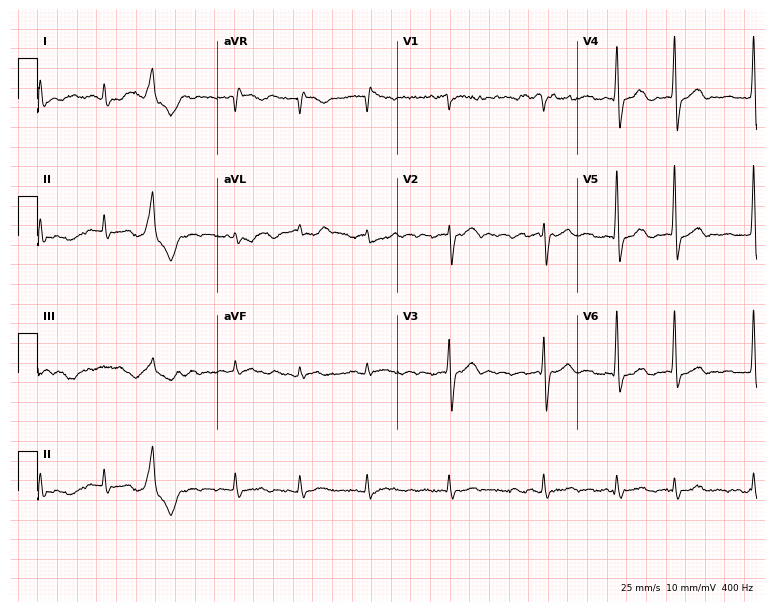
12-lead ECG from a 79-year-old man. Shows atrial fibrillation.